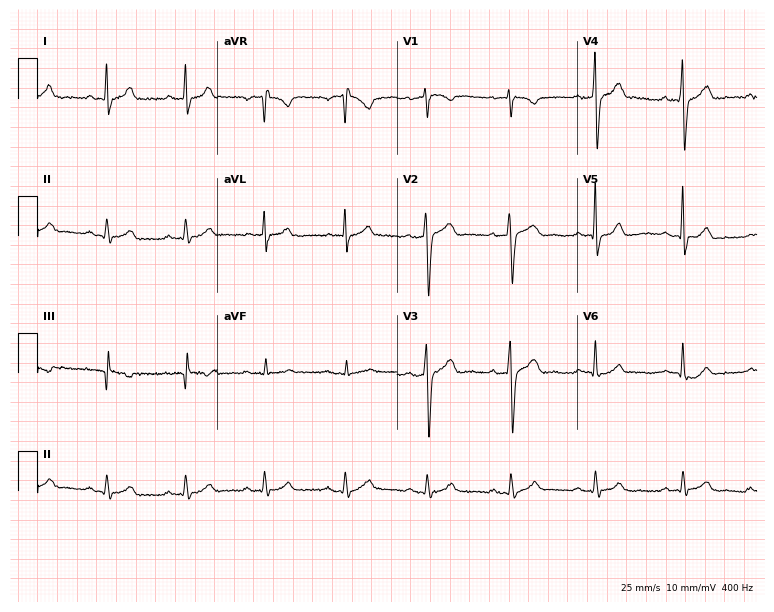
12-lead ECG from a male patient, 30 years old (7.3-second recording at 400 Hz). Recorded interpretation: within normal limits.